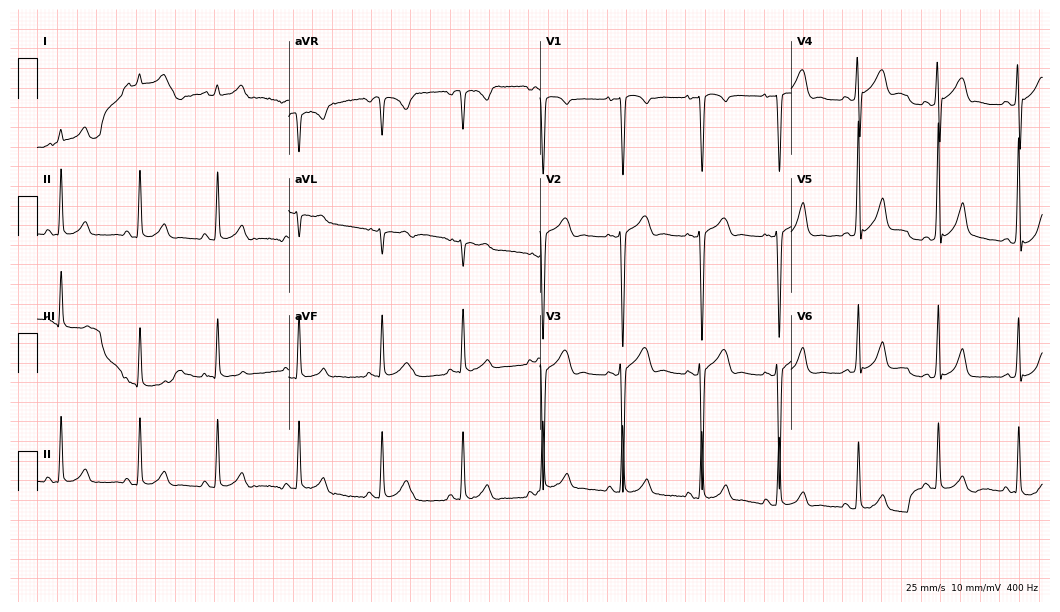
12-lead ECG (10.2-second recording at 400 Hz) from an 18-year-old male patient. Screened for six findings — first-degree AV block, right bundle branch block, left bundle branch block, sinus bradycardia, atrial fibrillation, sinus tachycardia — none is recorded.